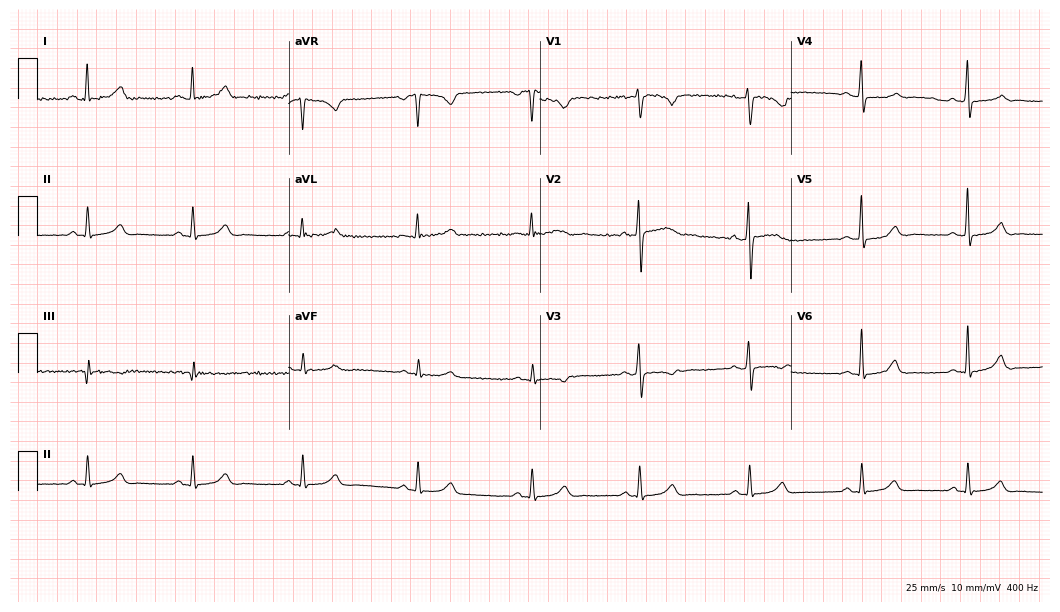
Electrocardiogram, a 31-year-old female. Overall reading on record: normal ECG.